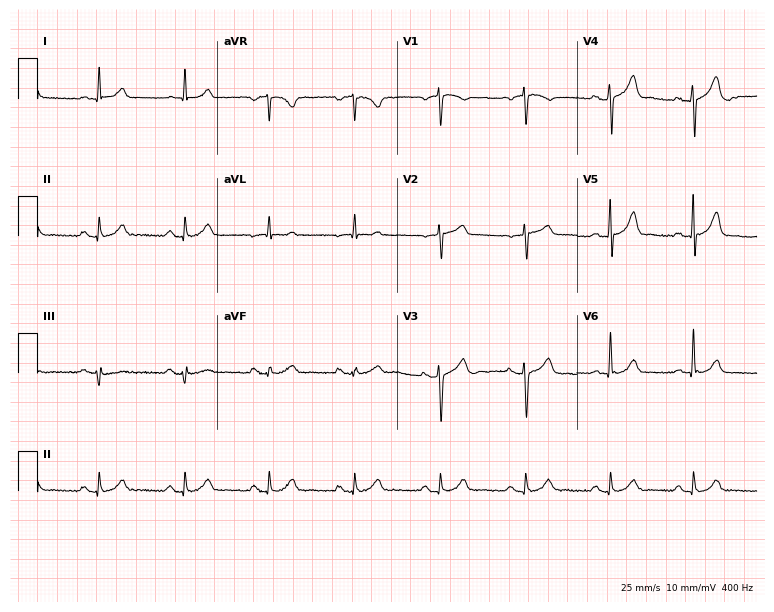
ECG (7.3-second recording at 400 Hz) — a 69-year-old male. Labelled as a normal ECG.